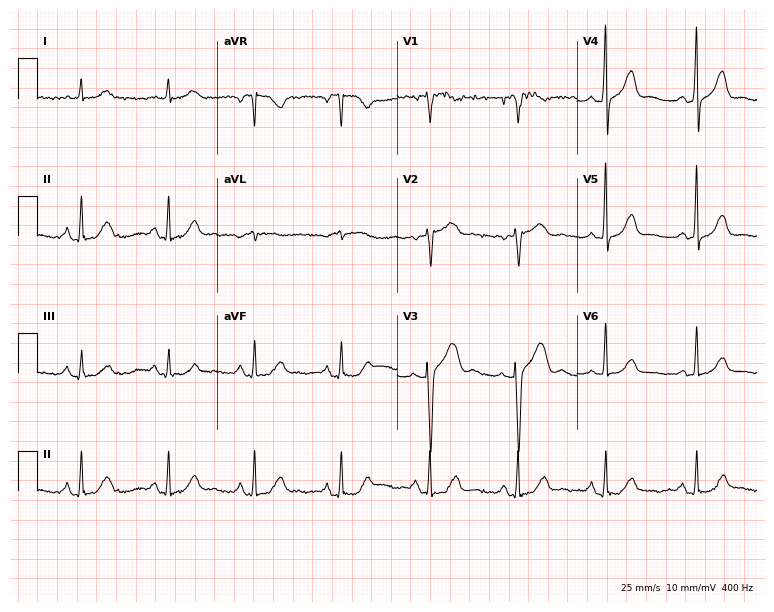
Standard 12-lead ECG recorded from a female patient, 81 years old. Read as a normal ECG.